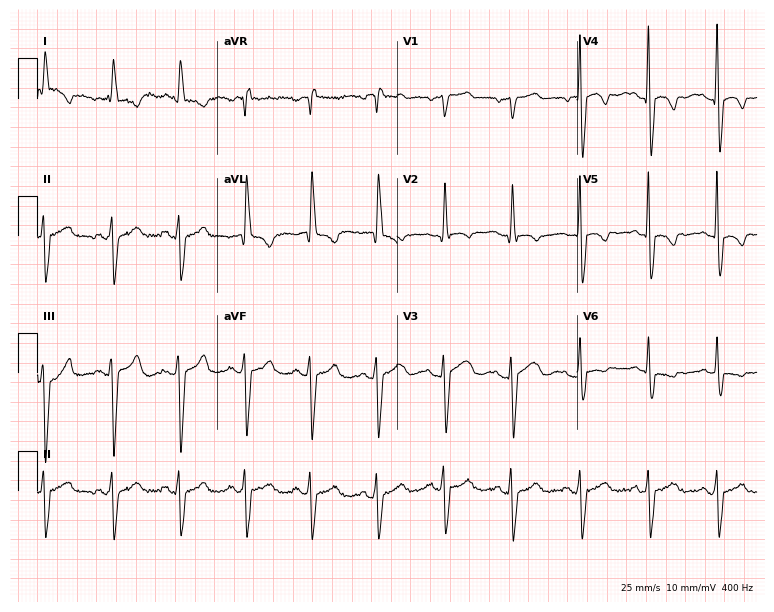
12-lead ECG from a woman, 81 years old. Screened for six findings — first-degree AV block, right bundle branch block, left bundle branch block, sinus bradycardia, atrial fibrillation, sinus tachycardia — none is recorded. Findings outside these six are not listed.